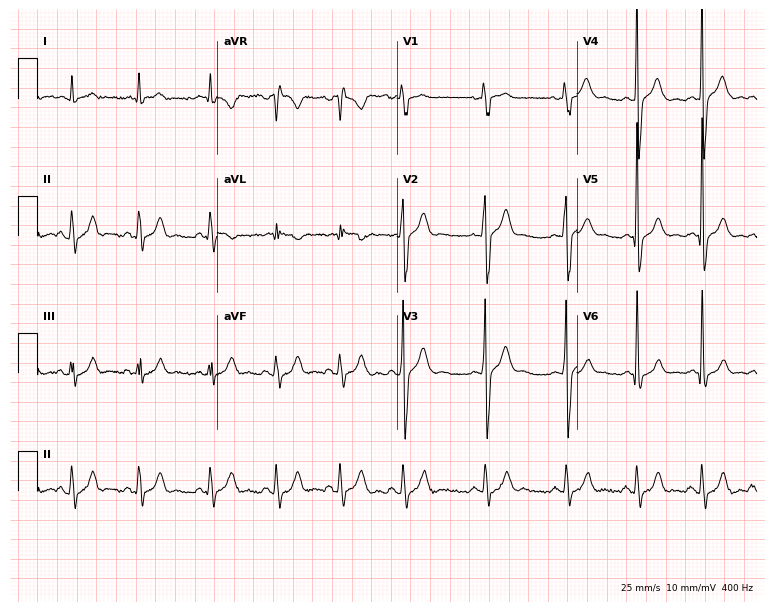
12-lead ECG from a man, 21 years old. Labelled as a normal ECG.